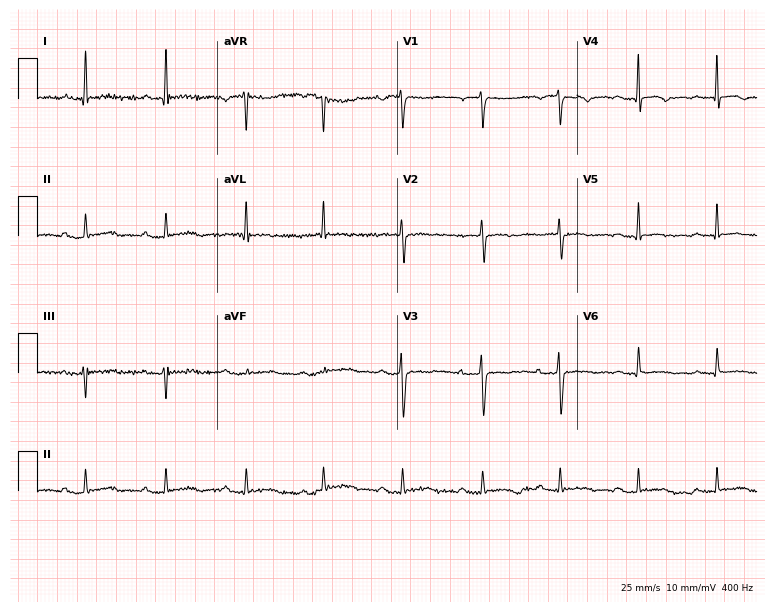
Resting 12-lead electrocardiogram (7.3-second recording at 400 Hz). Patient: a female, 62 years old. None of these six findings is recorded: first-degree AV block, right bundle branch block (RBBB), left bundle branch block (LBBB), sinus bradycardia, atrial fibrillation (AF), sinus tachycardia. Only these six findings were labelled.